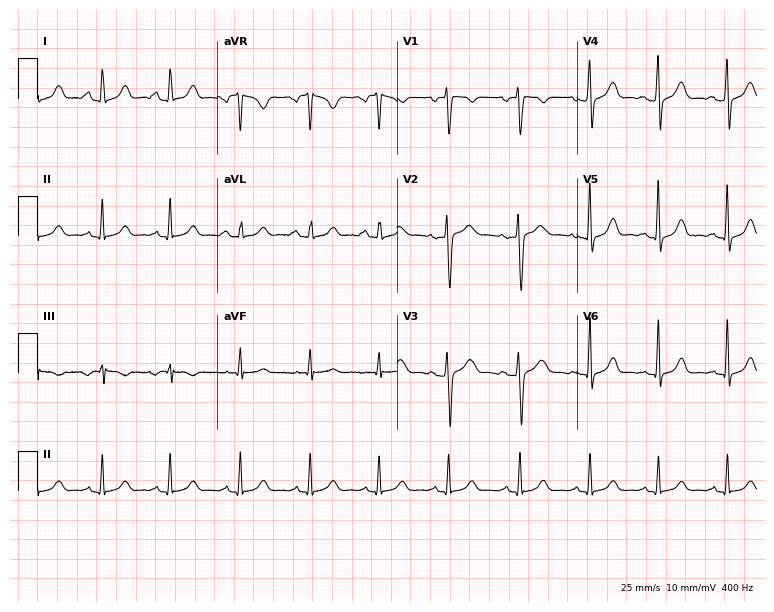
Resting 12-lead electrocardiogram. Patient: a 35-year-old female. Read as a normal ECG.